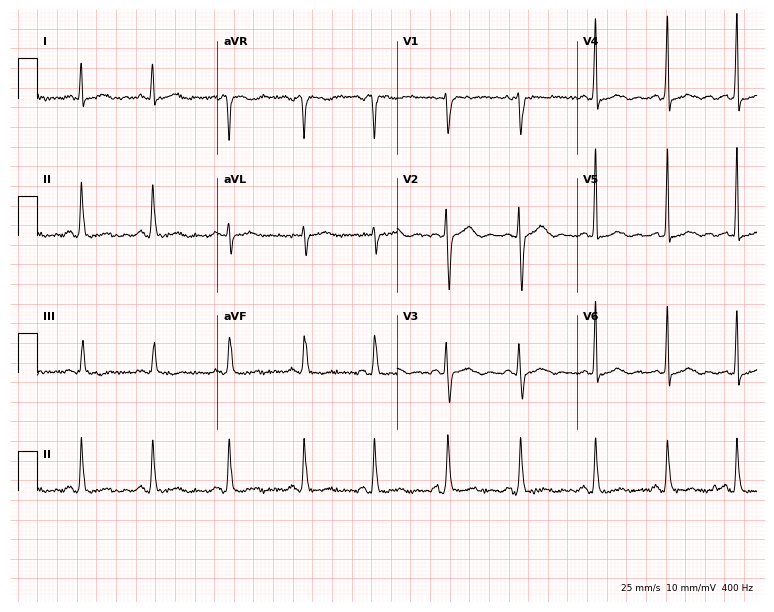
ECG — a female patient, 38 years old. Screened for six findings — first-degree AV block, right bundle branch block, left bundle branch block, sinus bradycardia, atrial fibrillation, sinus tachycardia — none is recorded.